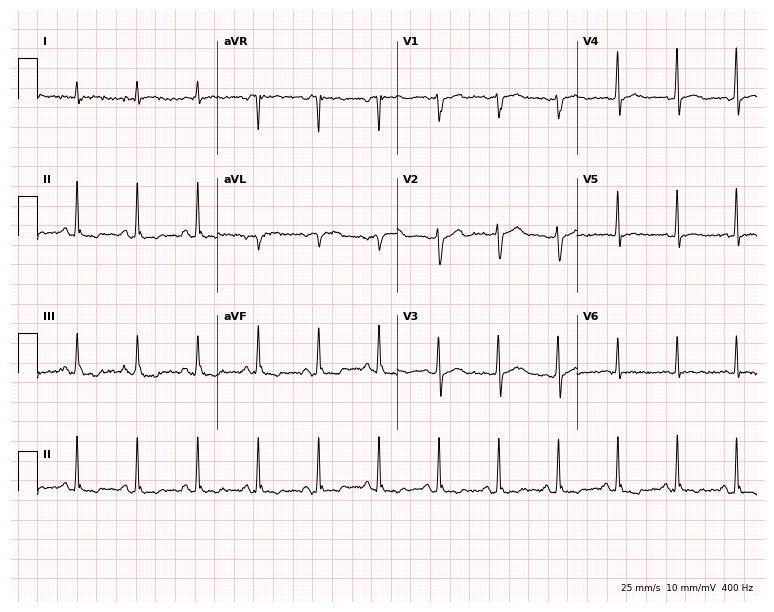
Standard 12-lead ECG recorded from a man, 60 years old. None of these six findings is recorded: first-degree AV block, right bundle branch block, left bundle branch block, sinus bradycardia, atrial fibrillation, sinus tachycardia. Findings outside these six are not listed.